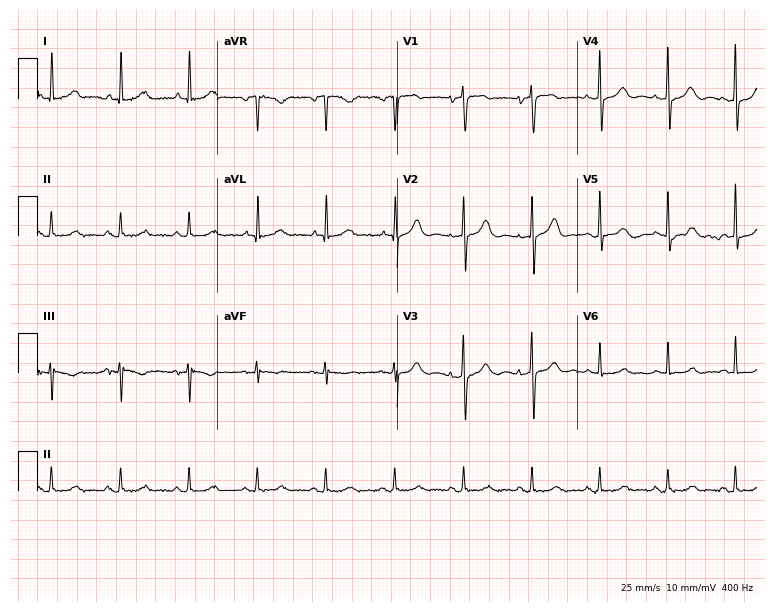
12-lead ECG from a female, 80 years old. No first-degree AV block, right bundle branch block (RBBB), left bundle branch block (LBBB), sinus bradycardia, atrial fibrillation (AF) or sinus tachycardia recorded for this tracing.